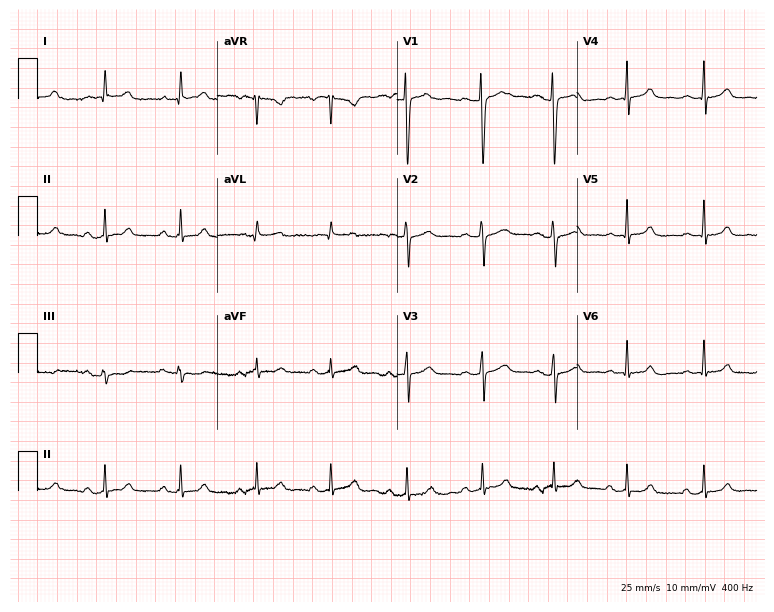
Standard 12-lead ECG recorded from a woman, 19 years old (7.3-second recording at 400 Hz). None of these six findings is recorded: first-degree AV block, right bundle branch block, left bundle branch block, sinus bradycardia, atrial fibrillation, sinus tachycardia.